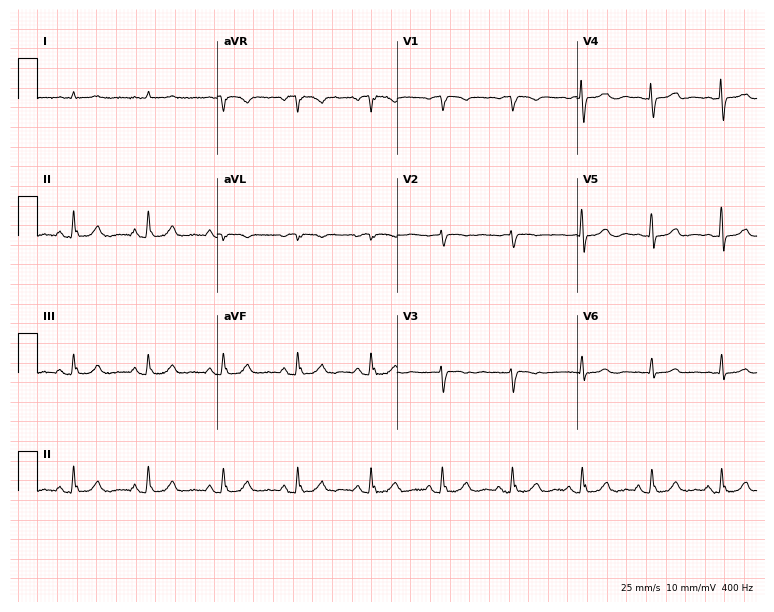
12-lead ECG from a male patient, 58 years old. Recorded interpretation: within normal limits.